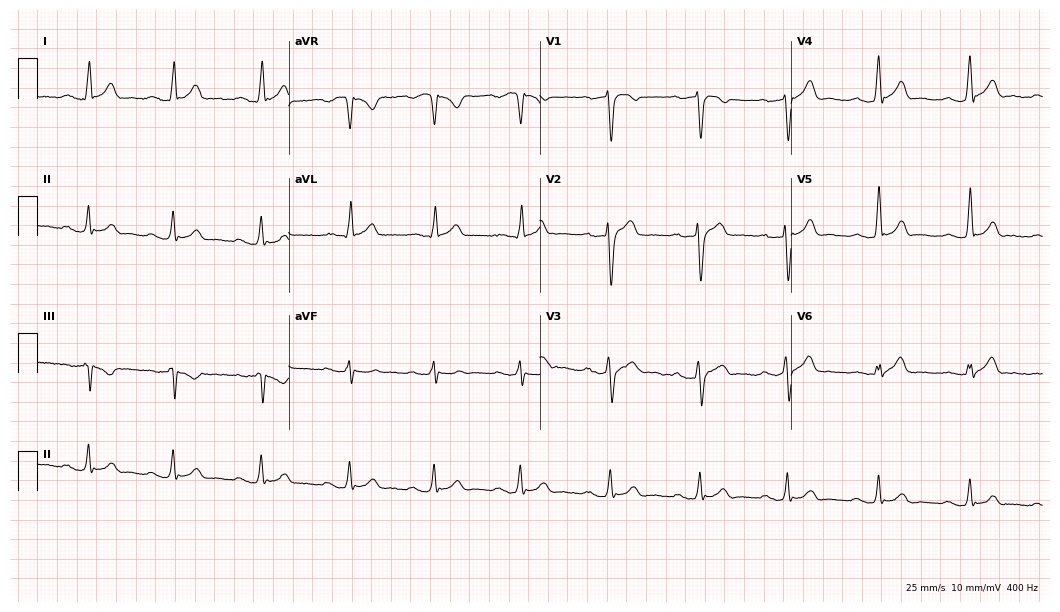
Standard 12-lead ECG recorded from a male, 37 years old (10.2-second recording at 400 Hz). None of these six findings is recorded: first-degree AV block, right bundle branch block, left bundle branch block, sinus bradycardia, atrial fibrillation, sinus tachycardia. Other findings, if any, are not listed.